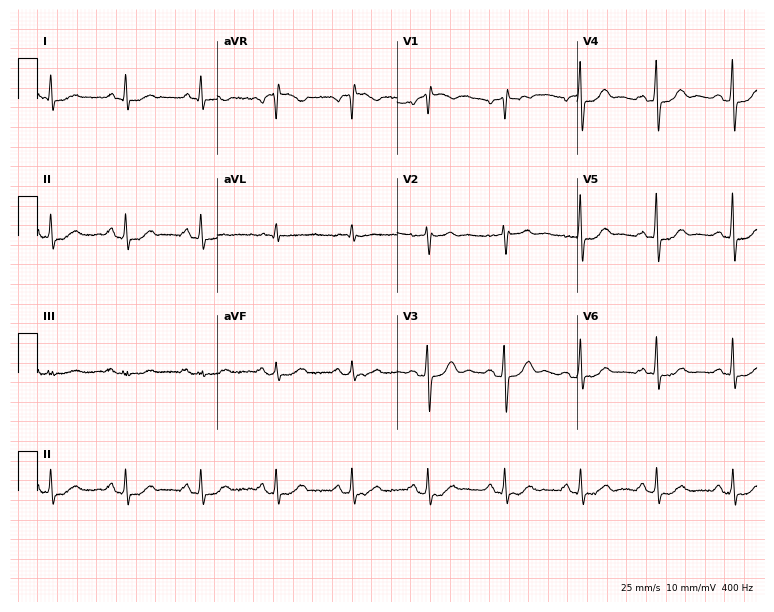
Standard 12-lead ECG recorded from a man, 69 years old. None of these six findings is recorded: first-degree AV block, right bundle branch block, left bundle branch block, sinus bradycardia, atrial fibrillation, sinus tachycardia. Only these six findings were labelled.